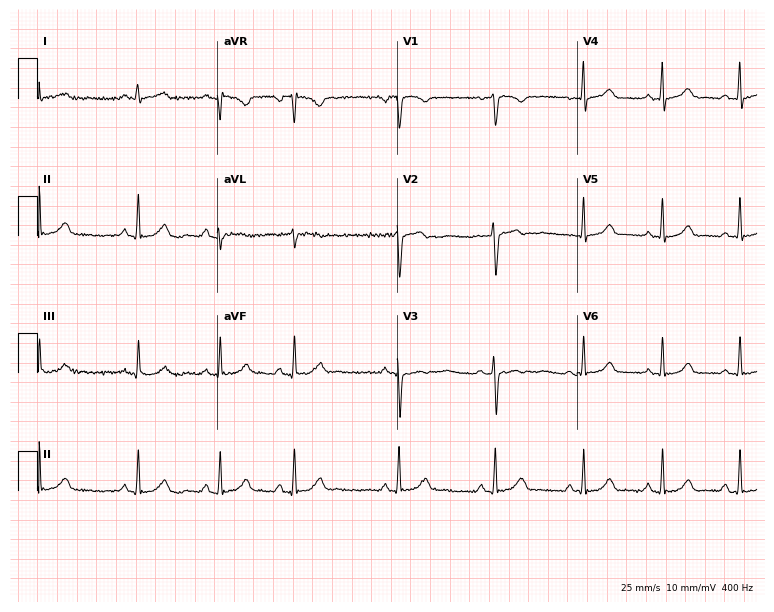
Standard 12-lead ECG recorded from a 20-year-old woman (7.3-second recording at 400 Hz). Read as a normal ECG.